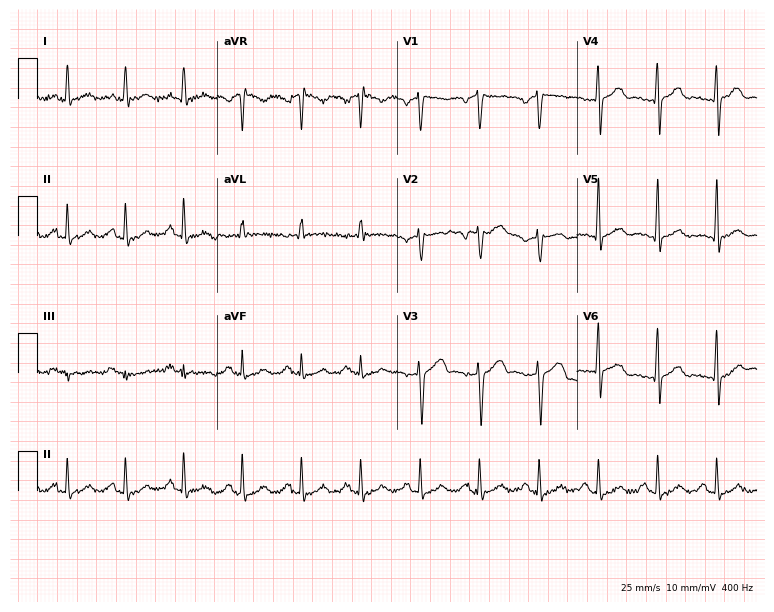
ECG — a 64-year-old male. Labelled as a normal ECG.